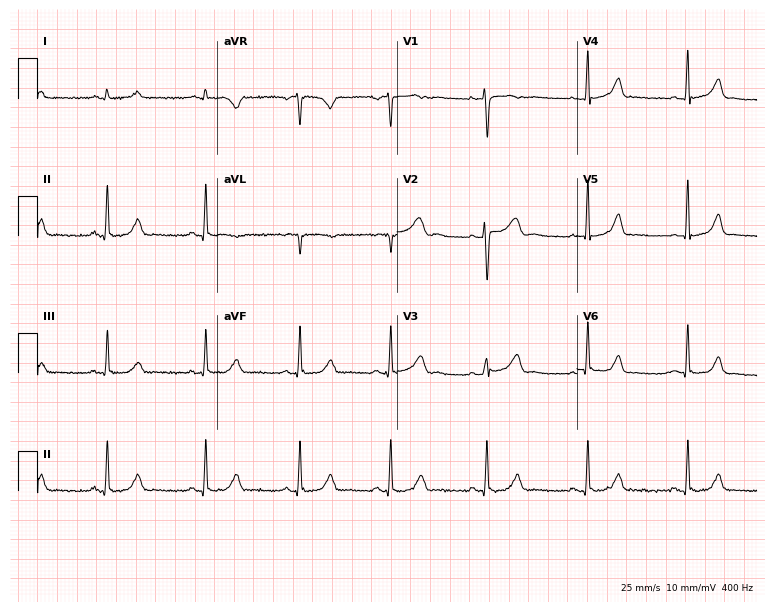
12-lead ECG from a female patient, 29 years old. Screened for six findings — first-degree AV block, right bundle branch block (RBBB), left bundle branch block (LBBB), sinus bradycardia, atrial fibrillation (AF), sinus tachycardia — none is recorded.